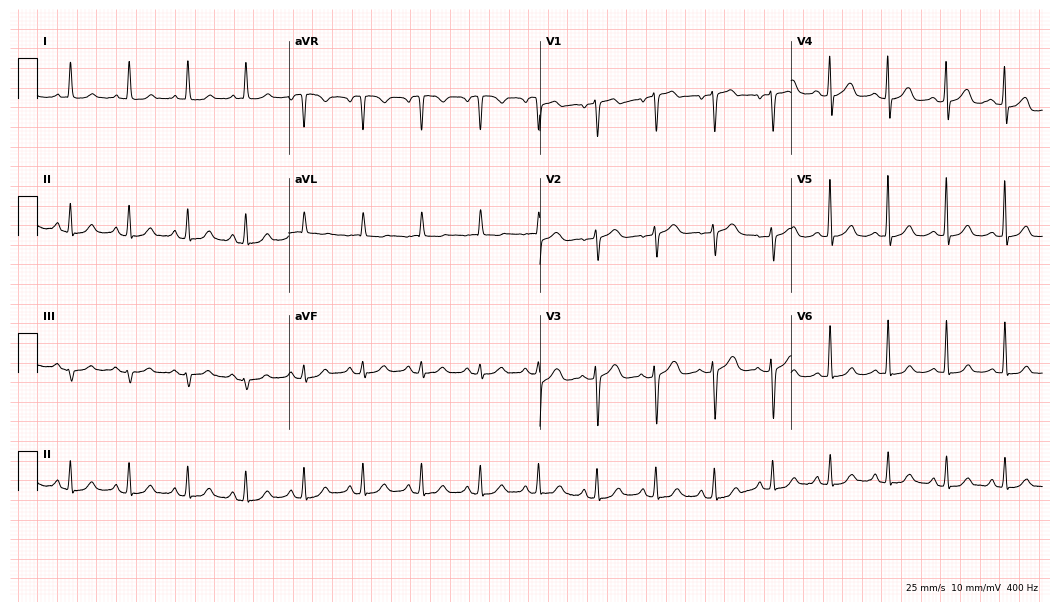
Resting 12-lead electrocardiogram. Patient: a woman, 73 years old. The tracing shows sinus tachycardia (a sinus rate of 100 beats per minute or more).